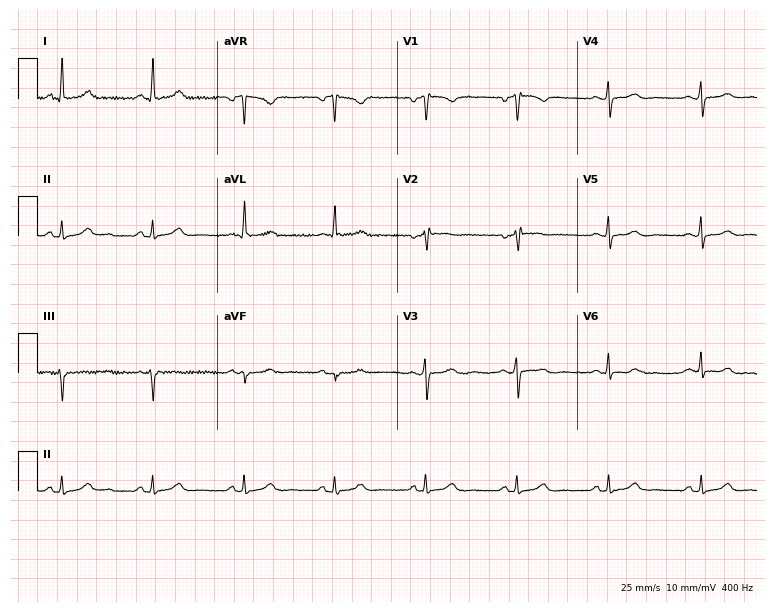
ECG (7.3-second recording at 400 Hz) — a female, 57 years old. Labelled as a normal ECG.